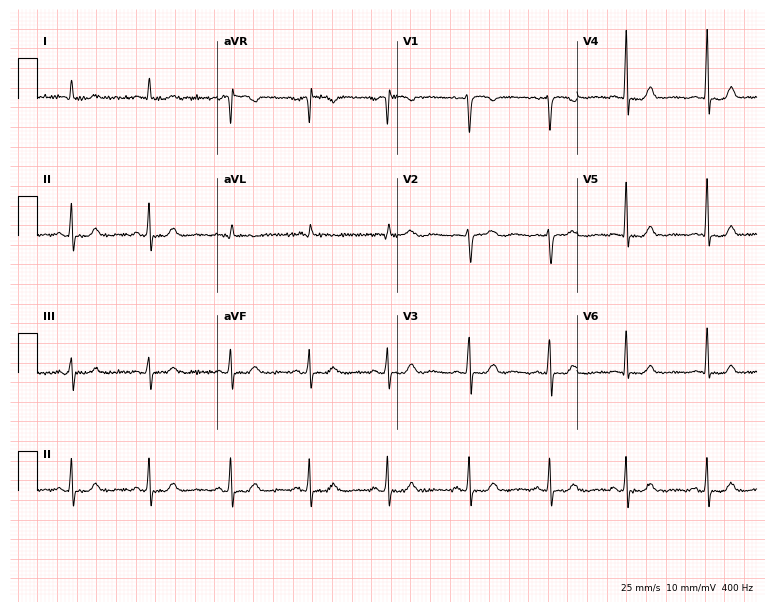
ECG (7.3-second recording at 400 Hz) — a 32-year-old female patient. Screened for six findings — first-degree AV block, right bundle branch block (RBBB), left bundle branch block (LBBB), sinus bradycardia, atrial fibrillation (AF), sinus tachycardia — none is recorded.